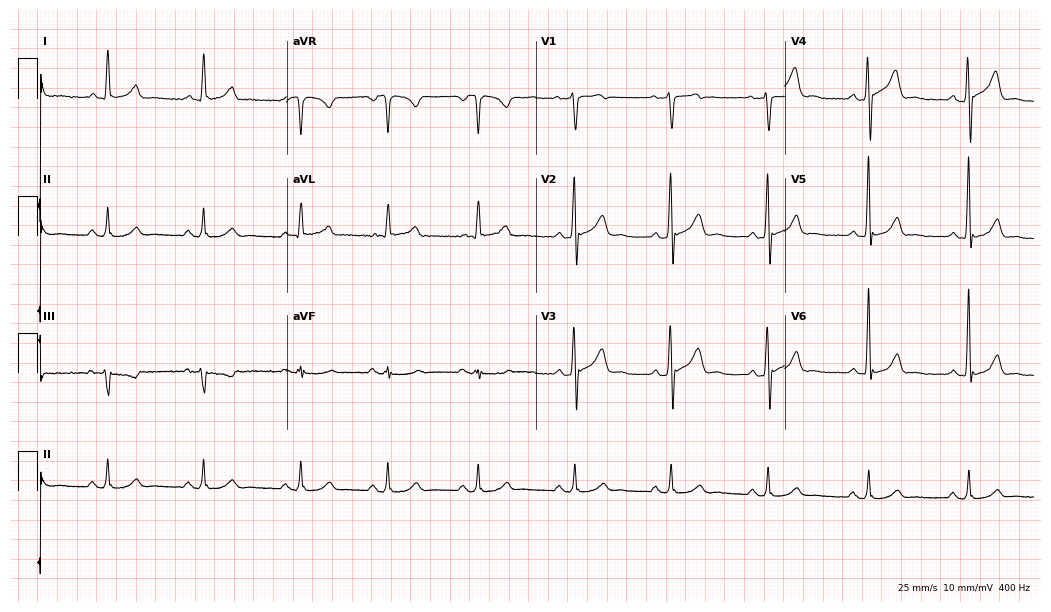
12-lead ECG from a 40-year-old man. Labelled as a normal ECG.